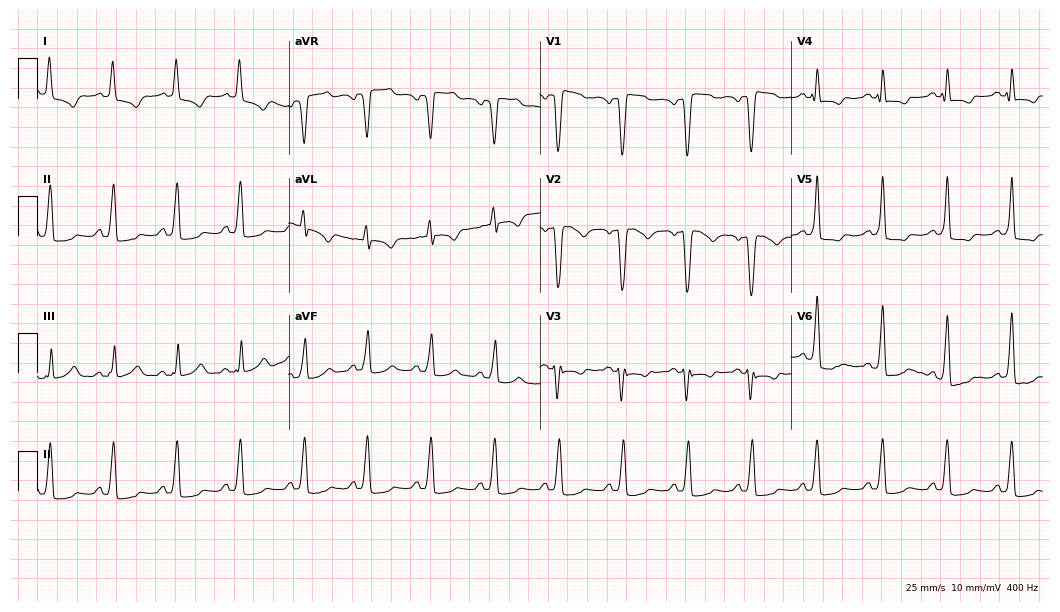
12-lead ECG from a female, 24 years old (10.2-second recording at 400 Hz). No first-degree AV block, right bundle branch block (RBBB), left bundle branch block (LBBB), sinus bradycardia, atrial fibrillation (AF) or sinus tachycardia recorded for this tracing.